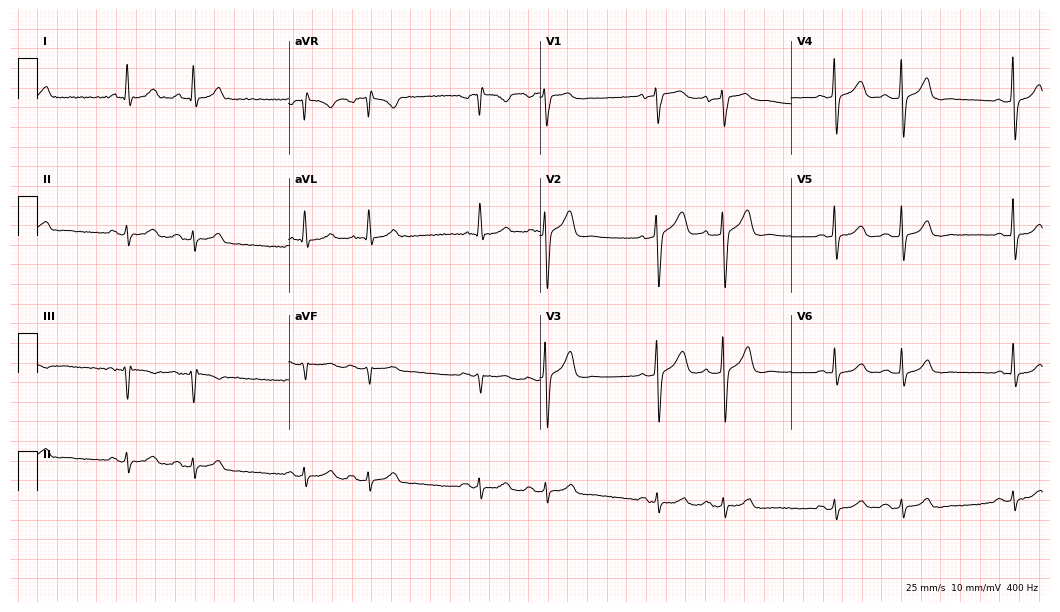
Resting 12-lead electrocardiogram. Patient: a 69-year-old female. None of these six findings is recorded: first-degree AV block, right bundle branch block (RBBB), left bundle branch block (LBBB), sinus bradycardia, atrial fibrillation (AF), sinus tachycardia. Only these six findings were labelled.